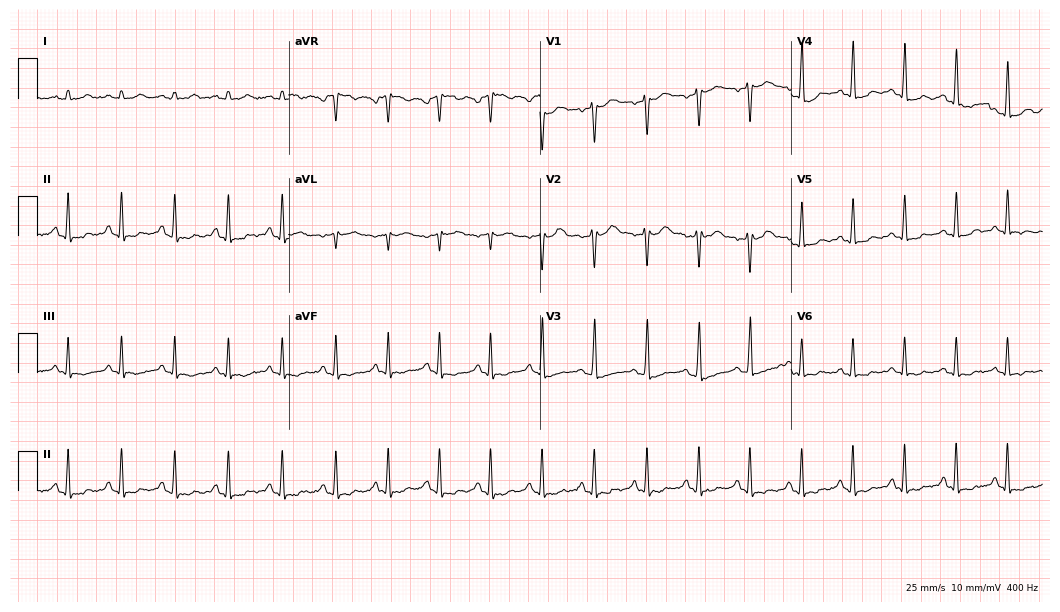
Resting 12-lead electrocardiogram (10.2-second recording at 400 Hz). Patient: a female, 19 years old. None of these six findings is recorded: first-degree AV block, right bundle branch block, left bundle branch block, sinus bradycardia, atrial fibrillation, sinus tachycardia.